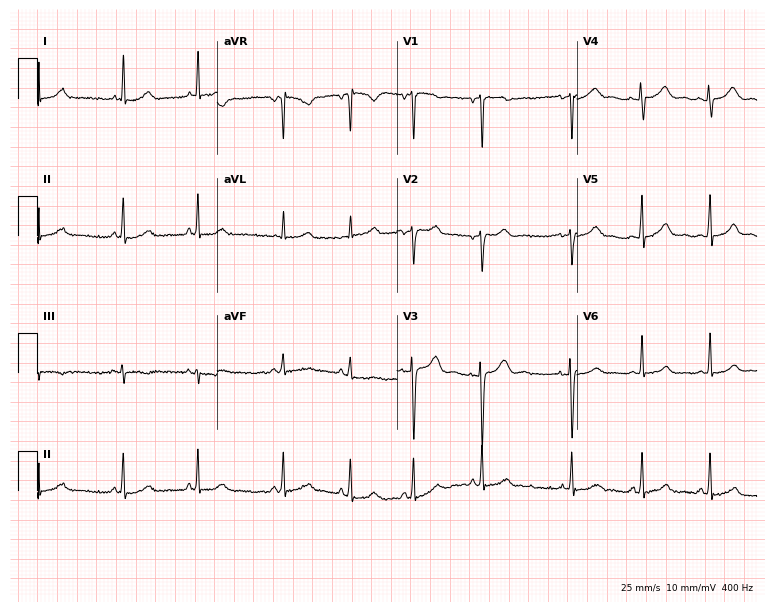
12-lead ECG from a 26-year-old female. Labelled as a normal ECG.